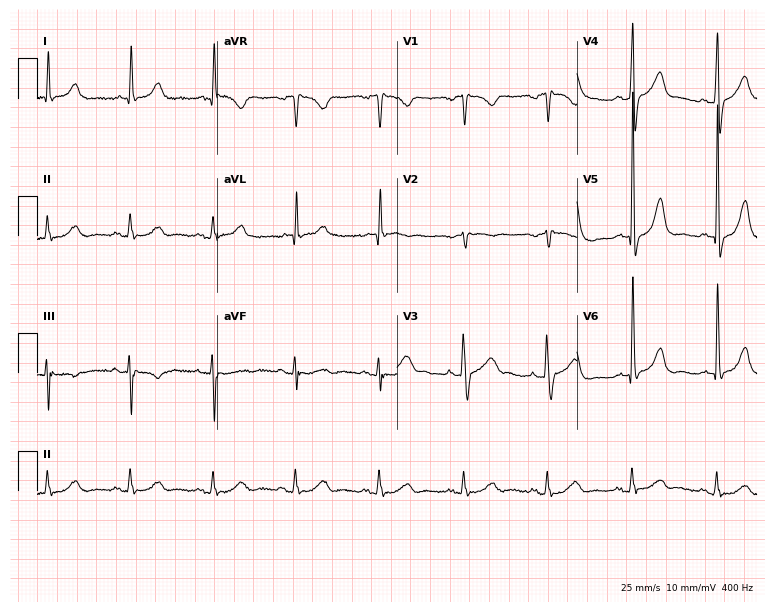
Standard 12-lead ECG recorded from a male patient, 84 years old (7.3-second recording at 400 Hz). Read as a normal ECG.